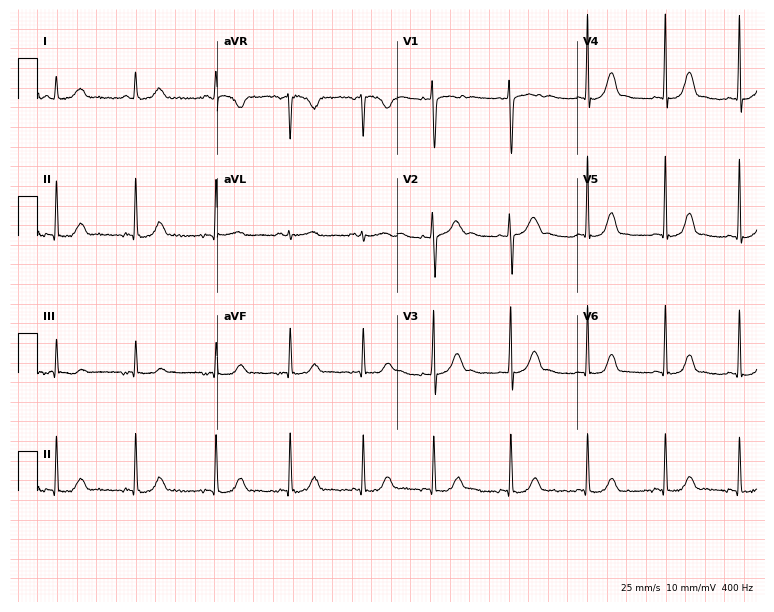
12-lead ECG from a female patient, 23 years old (7.3-second recording at 400 Hz). Recorded interpretation: within normal limits.